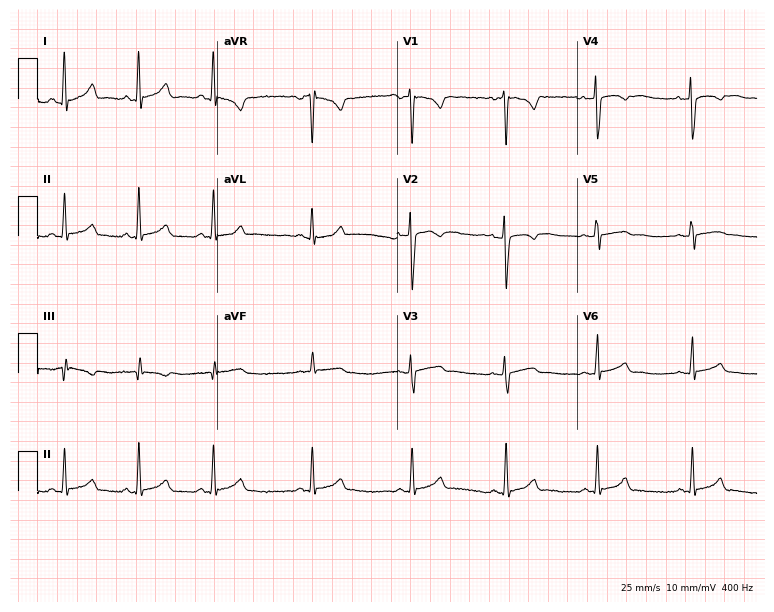
12-lead ECG from a female patient, 25 years old. Labelled as a normal ECG.